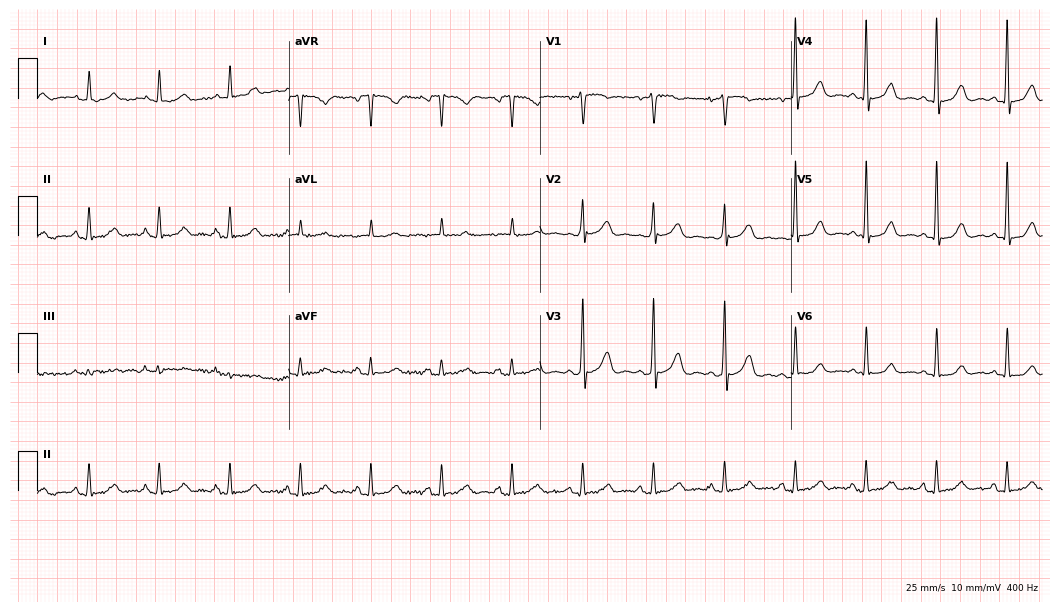
12-lead ECG from a 60-year-old woman (10.2-second recording at 400 Hz). Recorded interpretation: within normal limits.